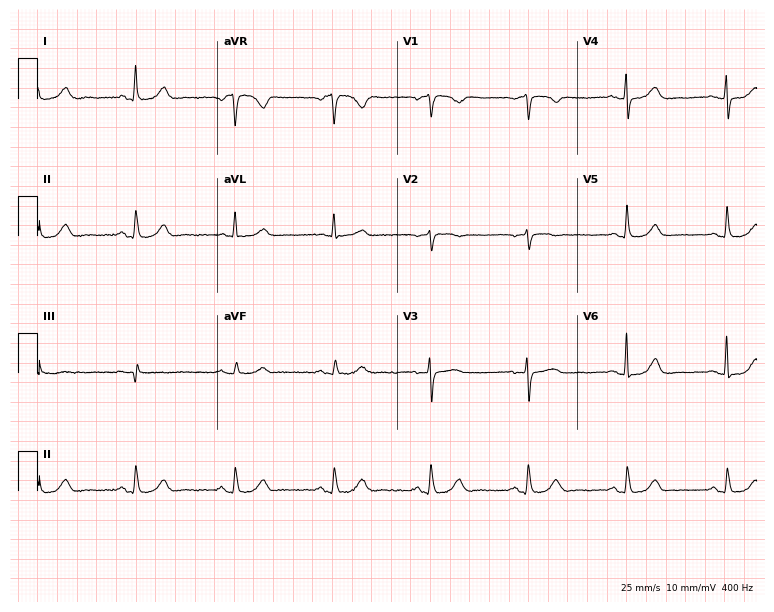
ECG — a 70-year-old female patient. Labelled as a normal ECG.